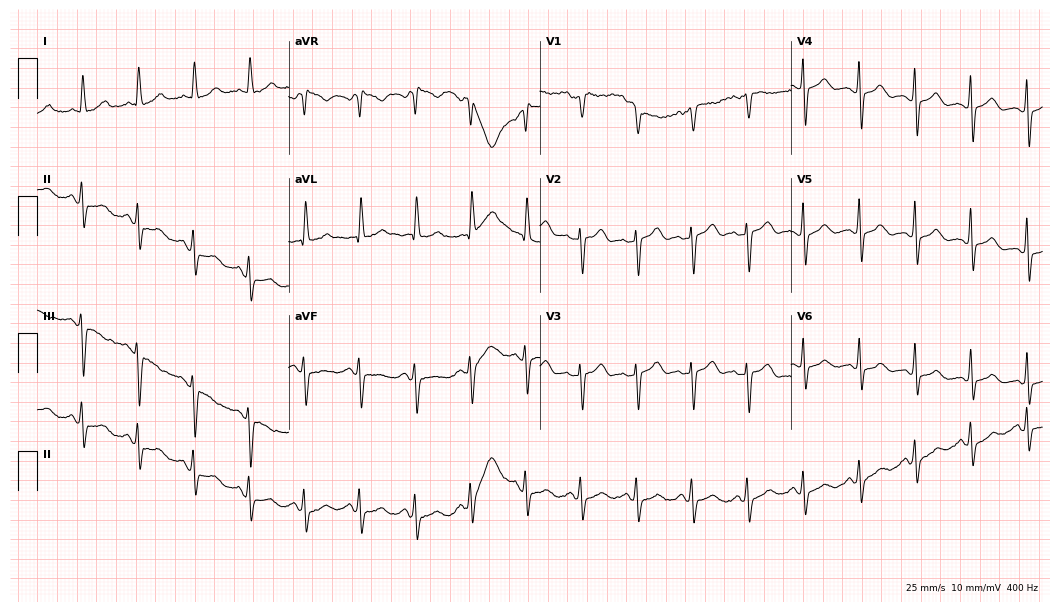
12-lead ECG from a 61-year-old woman. Shows sinus tachycardia (a sinus rate of 100 beats per minute or more).